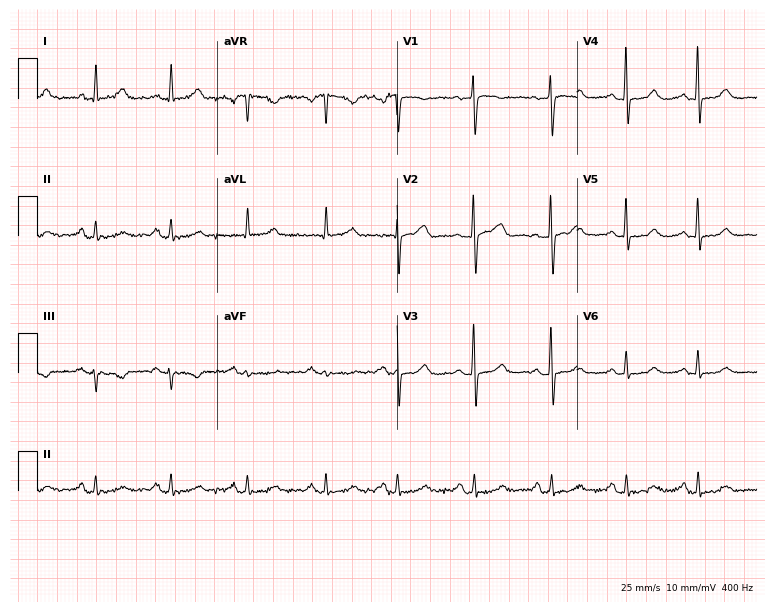
Resting 12-lead electrocardiogram. Patient: a 46-year-old woman. Read as a normal ECG.